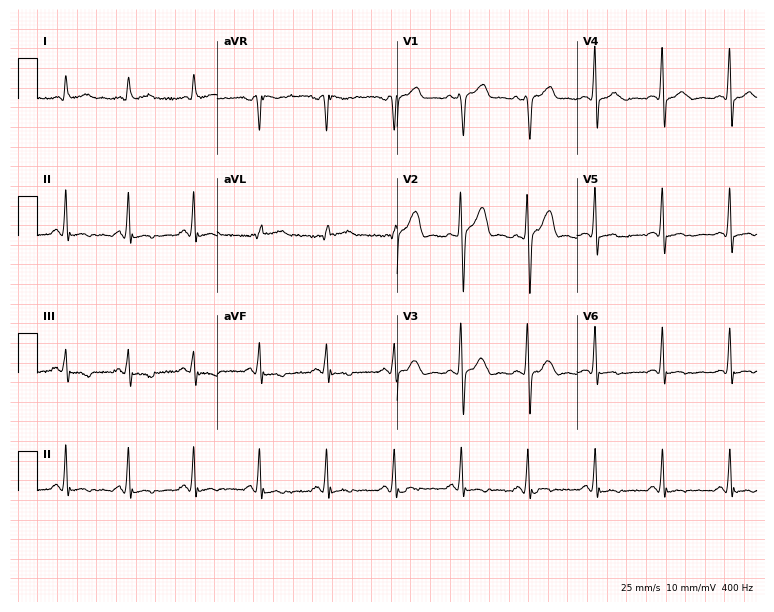
Electrocardiogram, a male patient, 59 years old. Of the six screened findings (first-degree AV block, right bundle branch block (RBBB), left bundle branch block (LBBB), sinus bradycardia, atrial fibrillation (AF), sinus tachycardia), none is recorded.